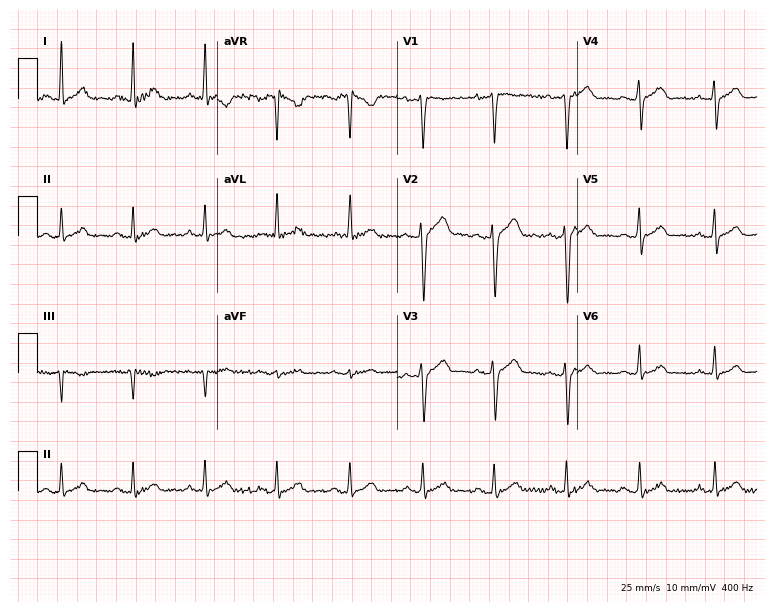
Electrocardiogram (7.3-second recording at 400 Hz), a male patient, 30 years old. Overall reading on record: normal ECG.